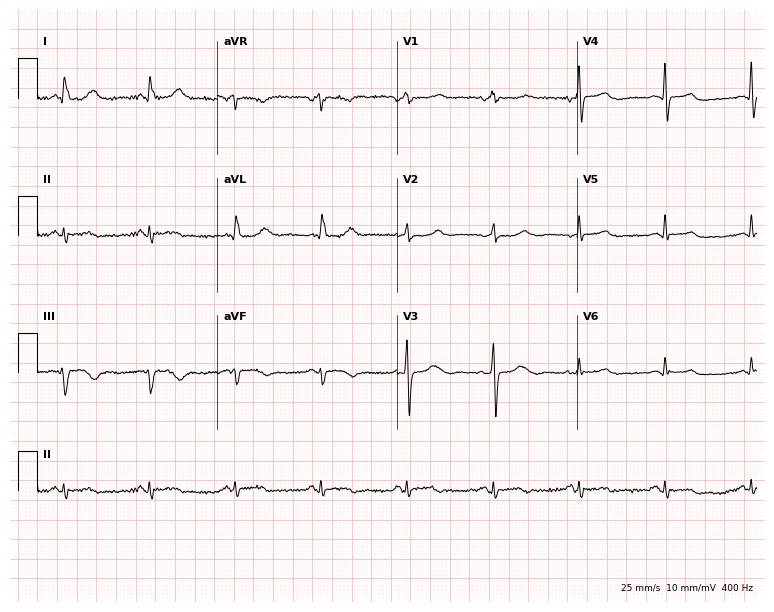
Electrocardiogram, a woman, 67 years old. Of the six screened findings (first-degree AV block, right bundle branch block, left bundle branch block, sinus bradycardia, atrial fibrillation, sinus tachycardia), none is recorded. Only these six findings were labelled.